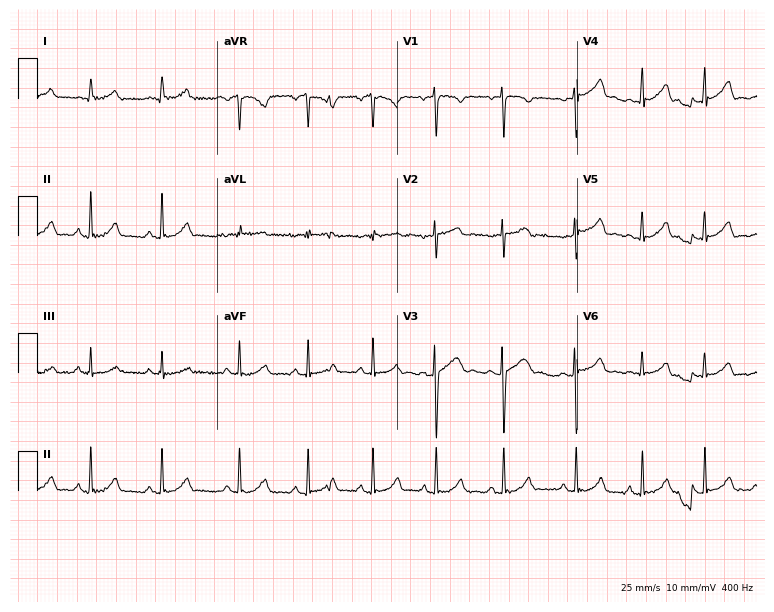
12-lead ECG (7.3-second recording at 400 Hz) from a 20-year-old female patient. Labelled as a normal ECG.